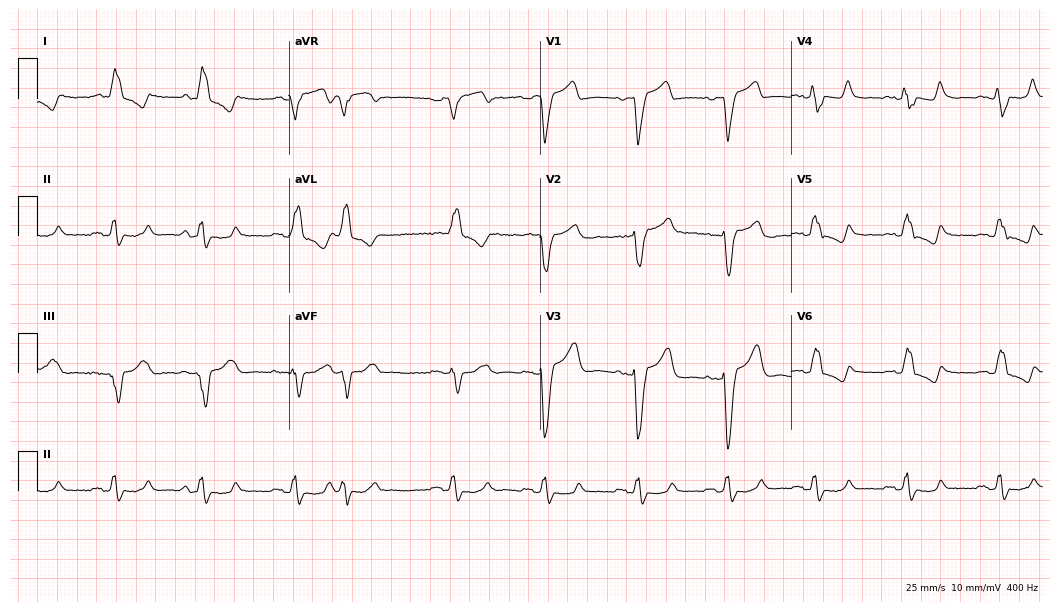
12-lead ECG from a female, 75 years old. Findings include left bundle branch block.